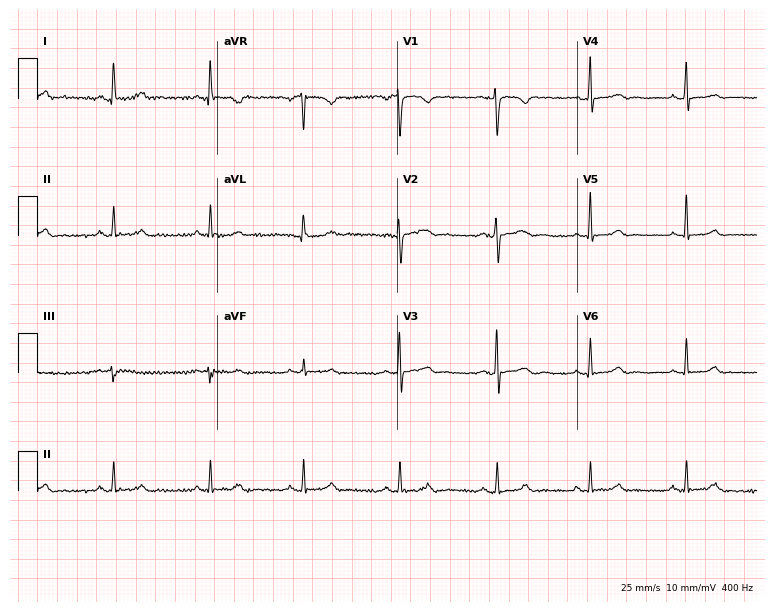
ECG — a 47-year-old female. Labelled as a normal ECG.